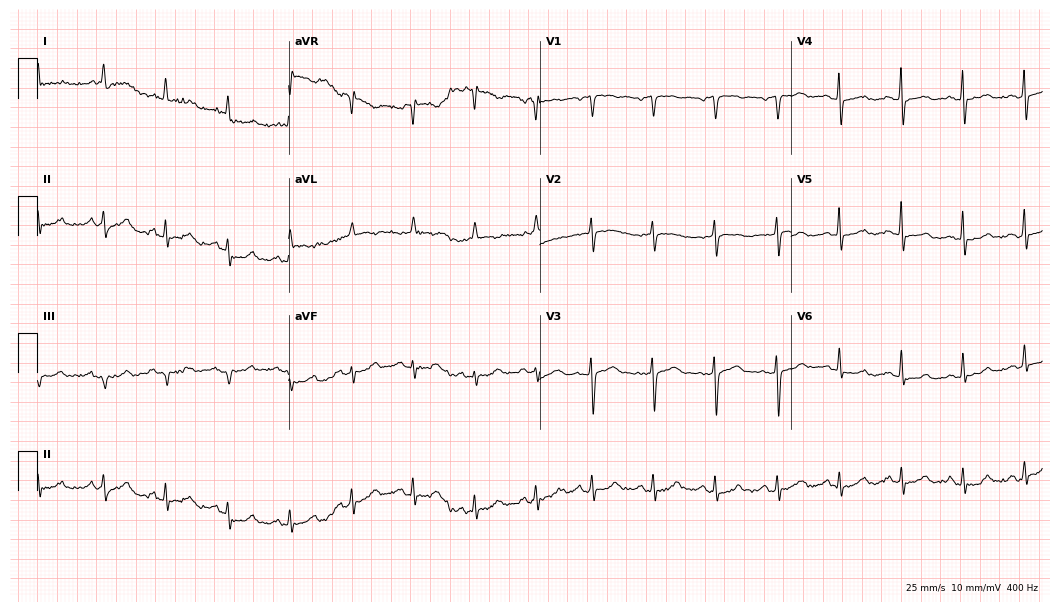
Electrocardiogram (10.2-second recording at 400 Hz), a woman, 82 years old. Of the six screened findings (first-degree AV block, right bundle branch block, left bundle branch block, sinus bradycardia, atrial fibrillation, sinus tachycardia), none is recorded. Other findings, if any, are not listed.